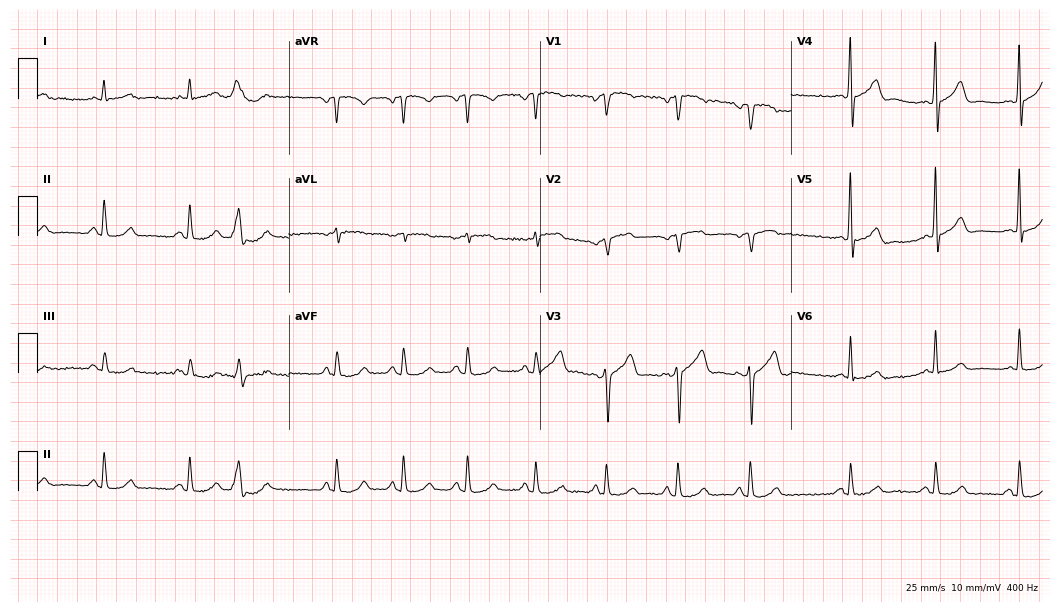
Resting 12-lead electrocardiogram. Patient: a male, 70 years old. Read as a normal ECG.